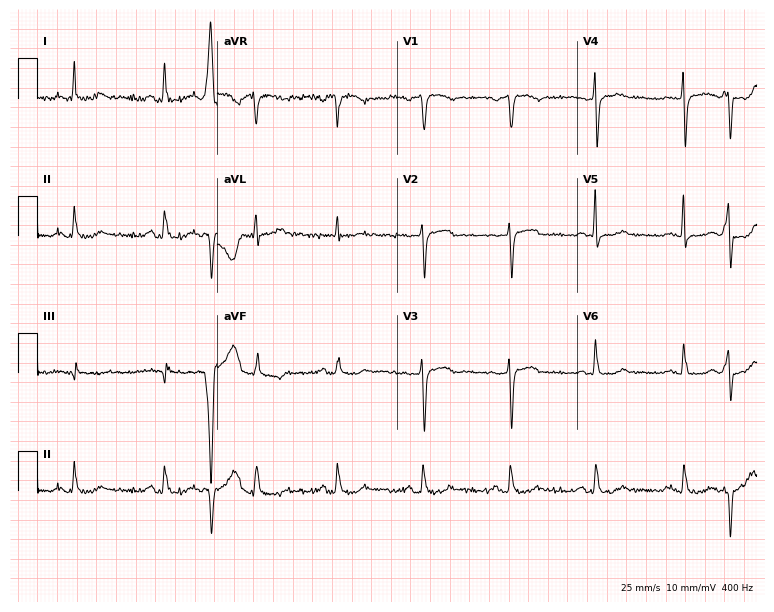
Electrocardiogram (7.3-second recording at 400 Hz), a 48-year-old woman. Of the six screened findings (first-degree AV block, right bundle branch block, left bundle branch block, sinus bradycardia, atrial fibrillation, sinus tachycardia), none is recorded.